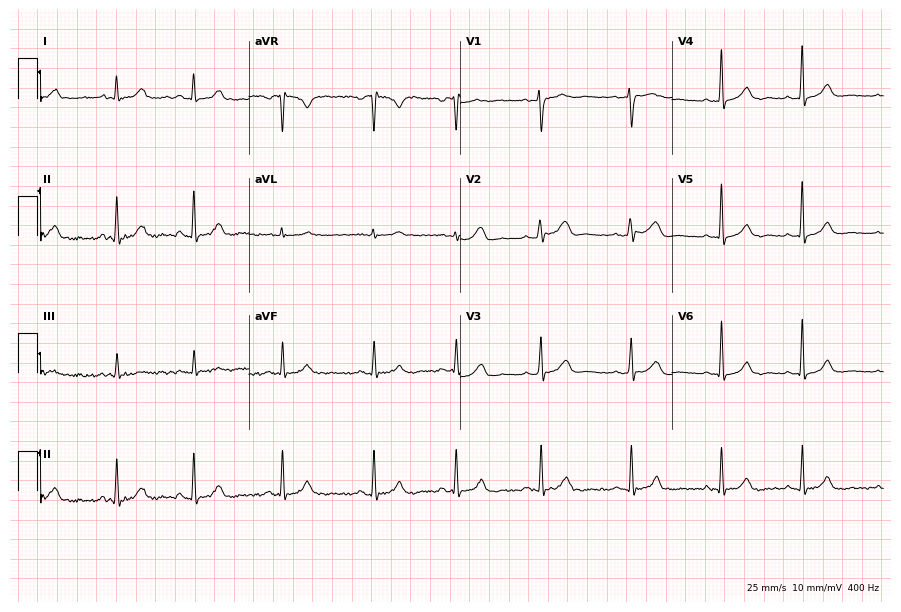
12-lead ECG from a 26-year-old female. Labelled as a normal ECG.